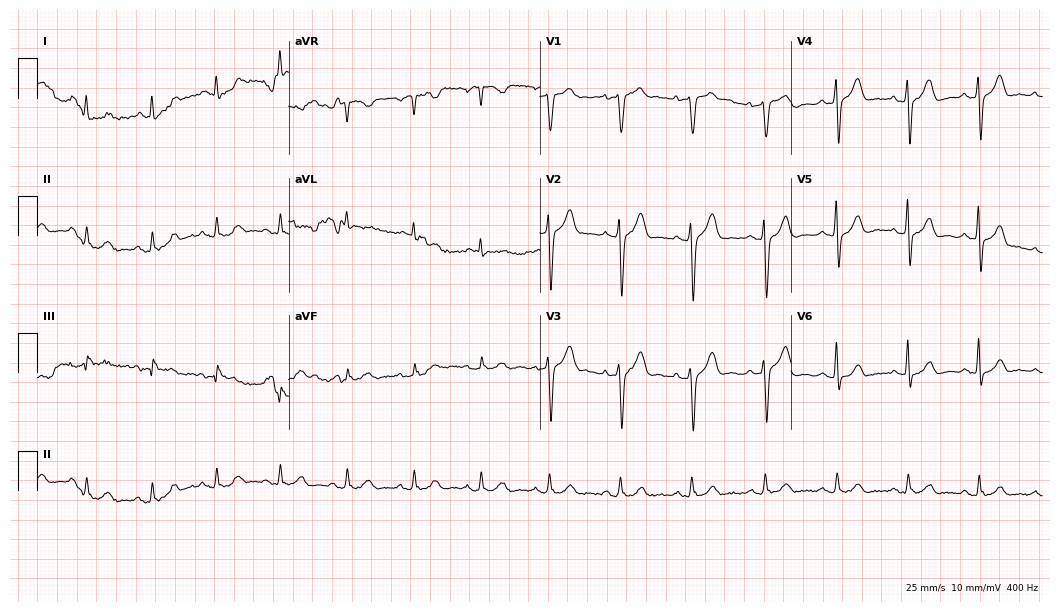
Resting 12-lead electrocardiogram (10.2-second recording at 400 Hz). Patient: a 49-year-old man. Read as a normal ECG.